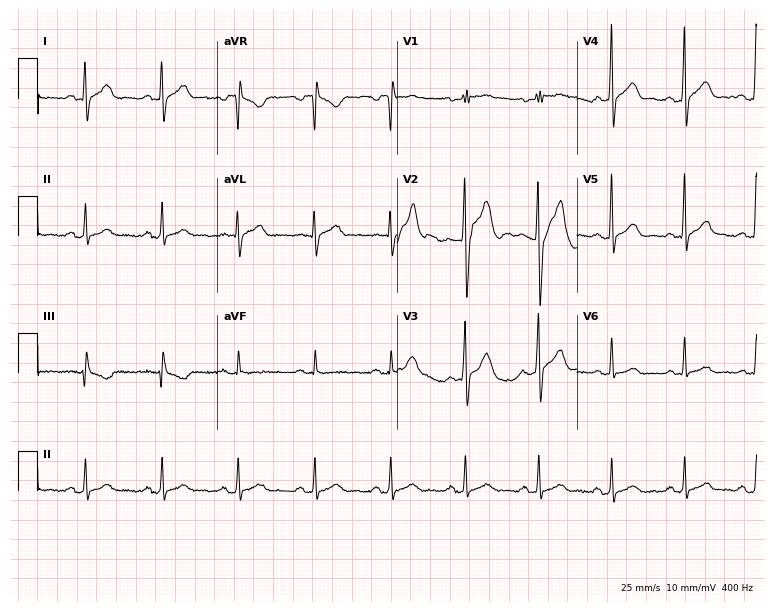
Electrocardiogram, a 53-year-old male. Of the six screened findings (first-degree AV block, right bundle branch block (RBBB), left bundle branch block (LBBB), sinus bradycardia, atrial fibrillation (AF), sinus tachycardia), none is recorded.